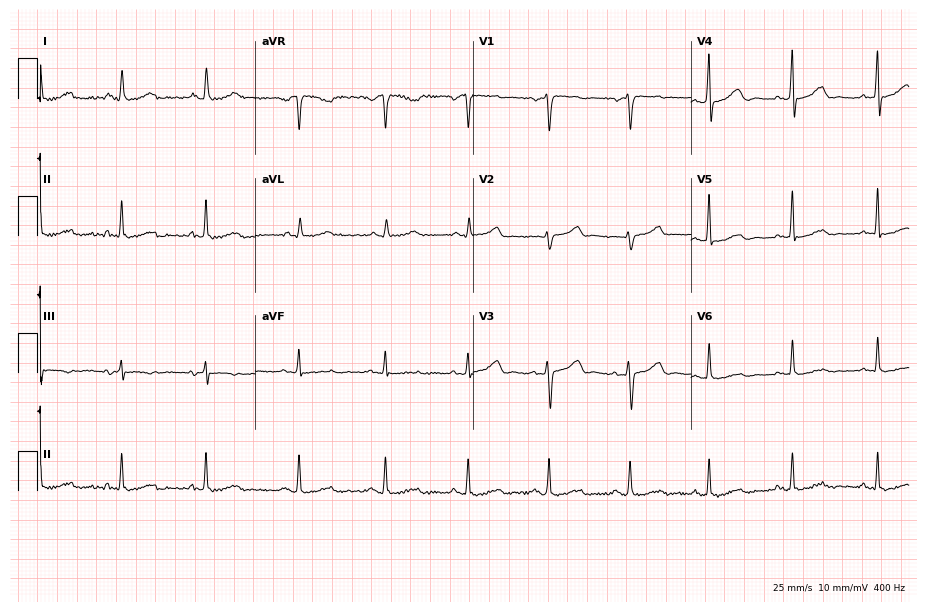
ECG (8.9-second recording at 400 Hz) — a woman, 64 years old. Labelled as a normal ECG.